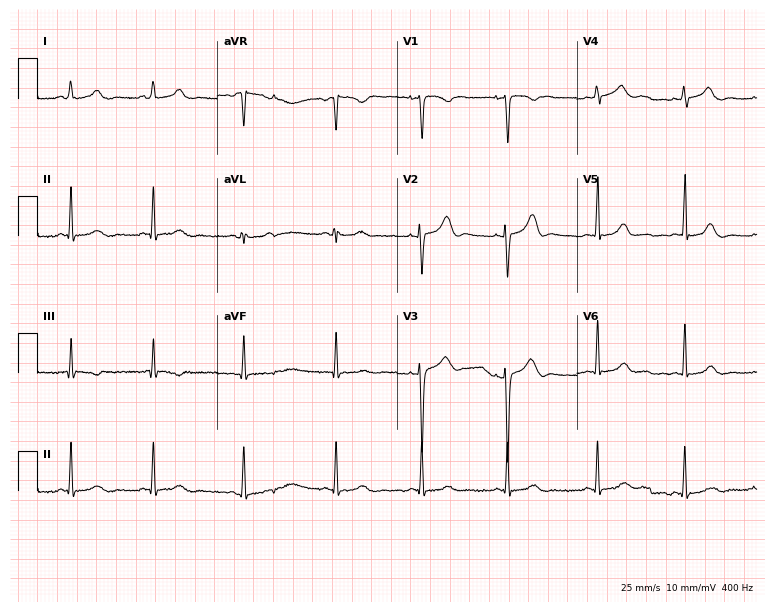
12-lead ECG (7.3-second recording at 400 Hz) from a 30-year-old female patient. Labelled as a normal ECG.